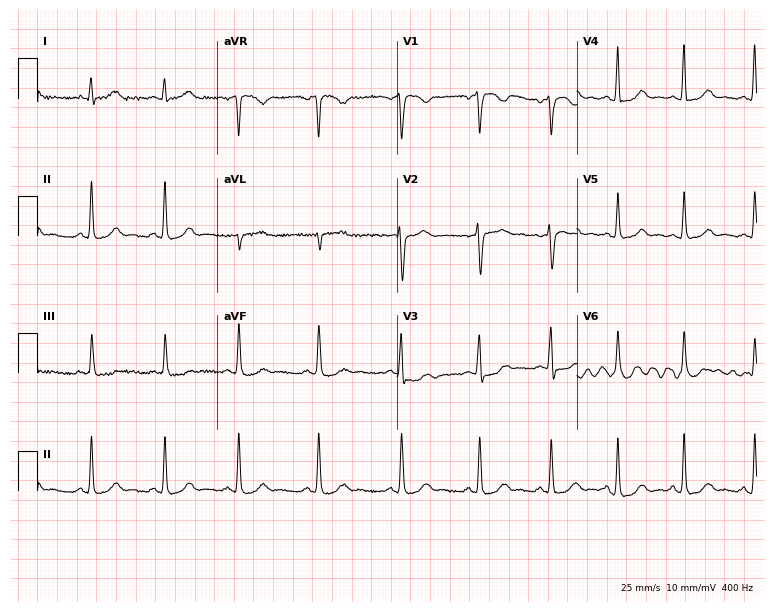
Electrocardiogram, a 31-year-old woman. Overall reading on record: normal ECG.